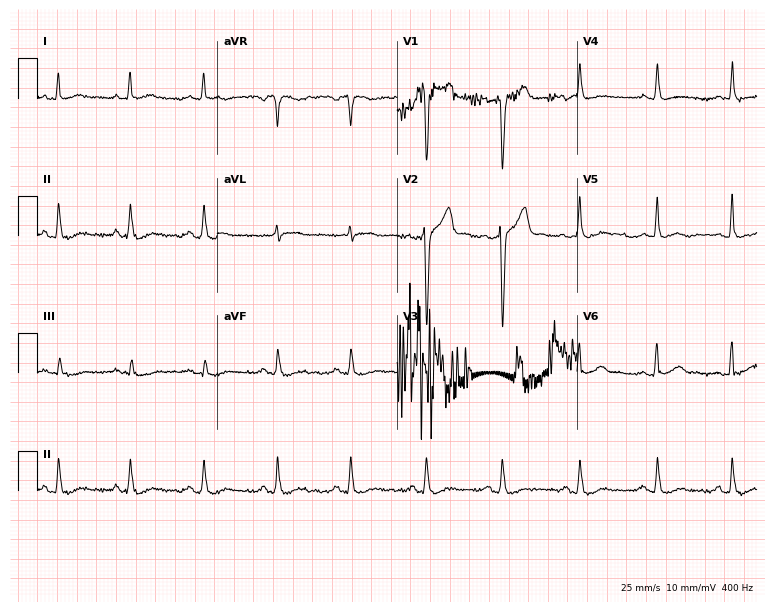
ECG (7.3-second recording at 400 Hz) — a male patient, 53 years old. Screened for six findings — first-degree AV block, right bundle branch block, left bundle branch block, sinus bradycardia, atrial fibrillation, sinus tachycardia — none is recorded. Only these six findings were labelled.